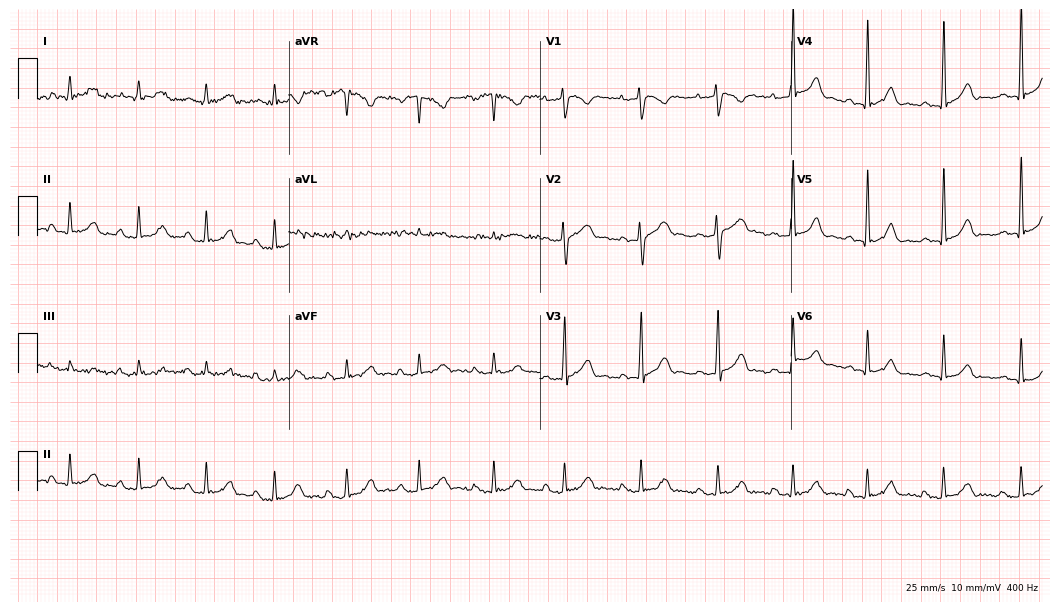
Electrocardiogram, a 31-year-old male. Overall reading on record: normal ECG.